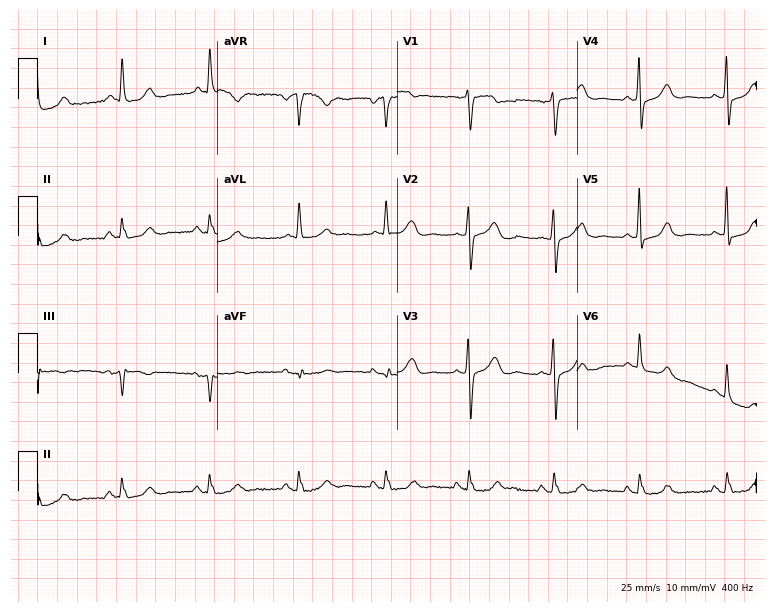
Resting 12-lead electrocardiogram (7.3-second recording at 400 Hz). Patient: a 59-year-old female. None of these six findings is recorded: first-degree AV block, right bundle branch block, left bundle branch block, sinus bradycardia, atrial fibrillation, sinus tachycardia.